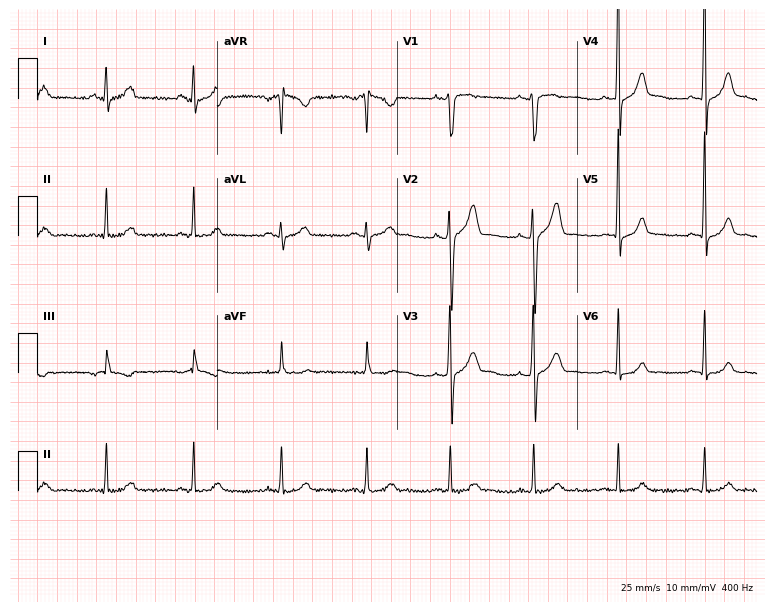
Resting 12-lead electrocardiogram. Patient: a man, 37 years old. Read as a normal ECG.